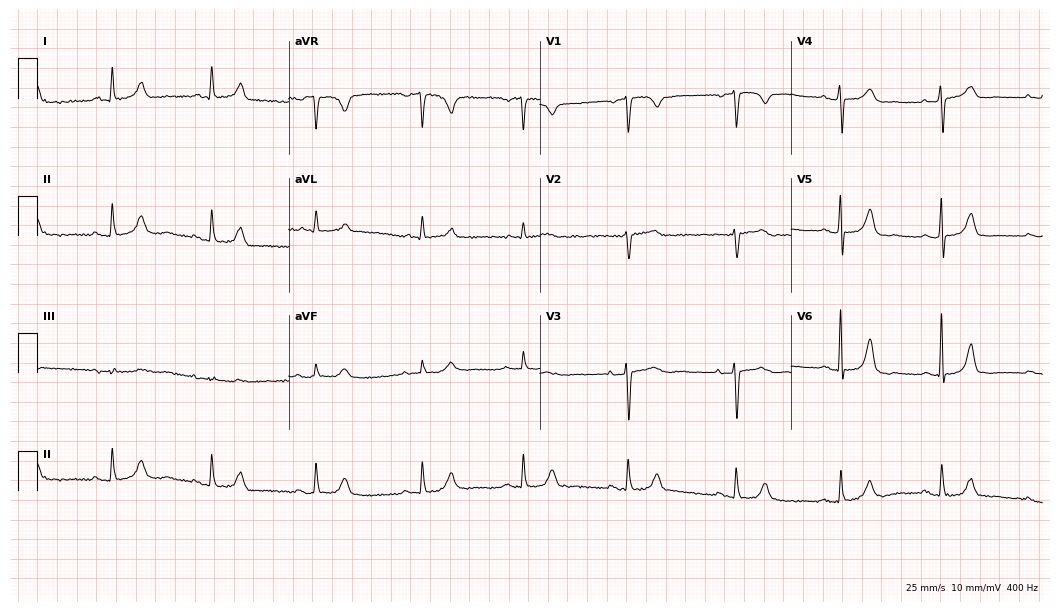
Standard 12-lead ECG recorded from a woman, 82 years old (10.2-second recording at 400 Hz). Read as a normal ECG.